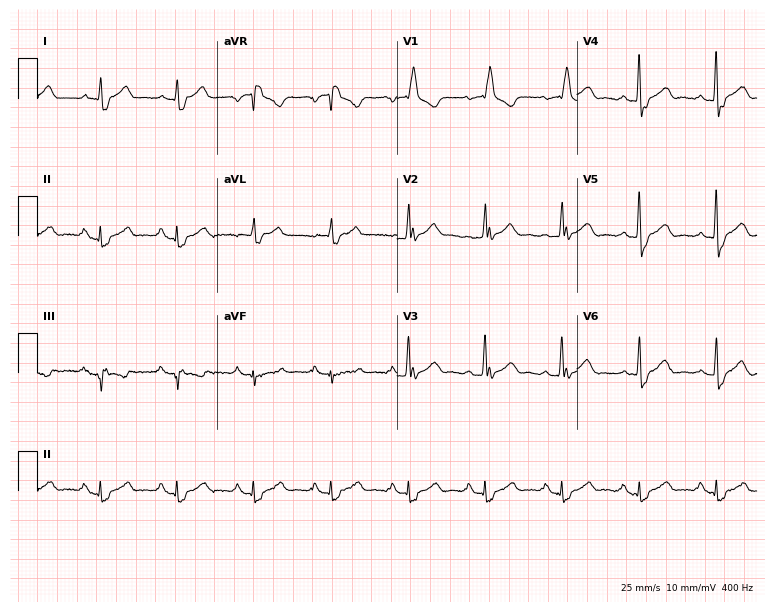
Resting 12-lead electrocardiogram (7.3-second recording at 400 Hz). Patient: a 58-year-old male. None of these six findings is recorded: first-degree AV block, right bundle branch block, left bundle branch block, sinus bradycardia, atrial fibrillation, sinus tachycardia. Other findings, if any, are not listed.